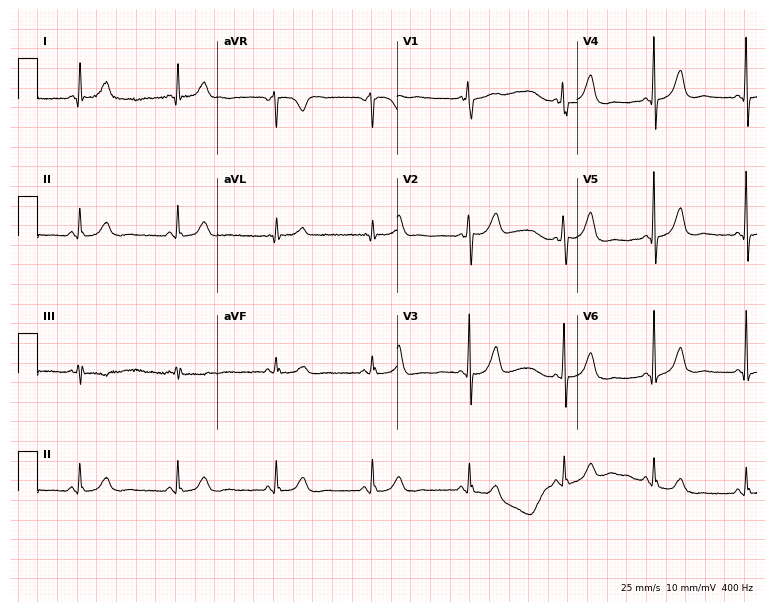
Resting 12-lead electrocardiogram (7.3-second recording at 400 Hz). Patient: a female, 72 years old. None of these six findings is recorded: first-degree AV block, right bundle branch block, left bundle branch block, sinus bradycardia, atrial fibrillation, sinus tachycardia.